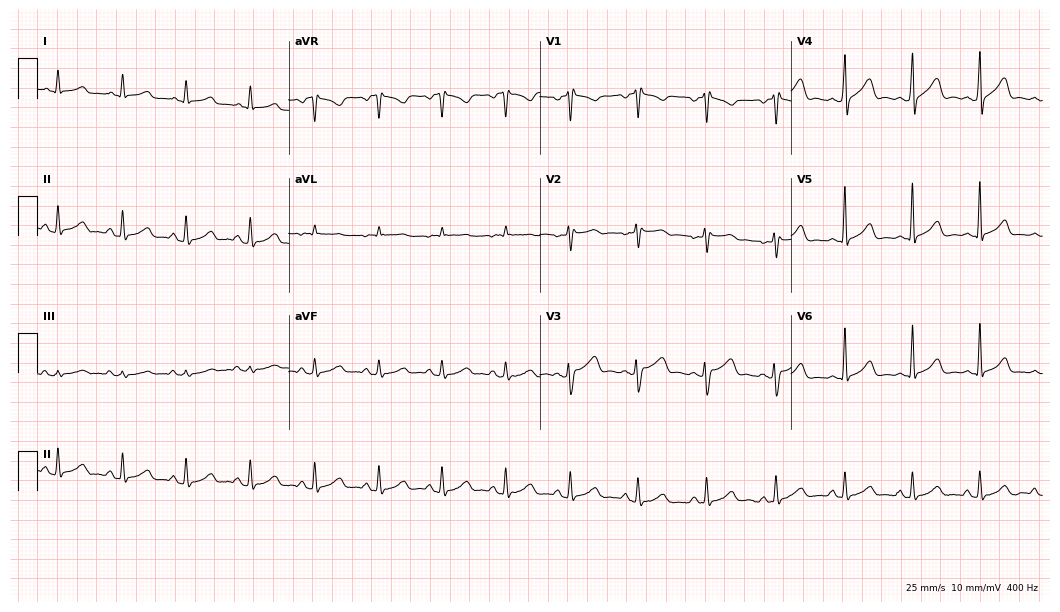
Electrocardiogram (10.2-second recording at 400 Hz), a 35-year-old female patient. Of the six screened findings (first-degree AV block, right bundle branch block (RBBB), left bundle branch block (LBBB), sinus bradycardia, atrial fibrillation (AF), sinus tachycardia), none is recorded. Findings outside these six are not listed.